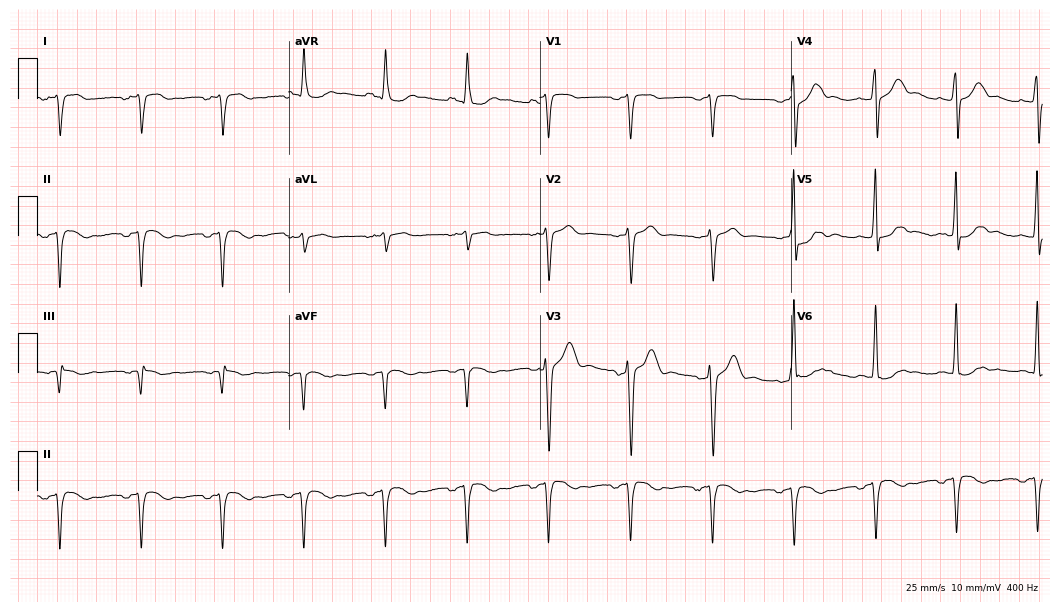
ECG — a 61-year-old male. Screened for six findings — first-degree AV block, right bundle branch block, left bundle branch block, sinus bradycardia, atrial fibrillation, sinus tachycardia — none is recorded.